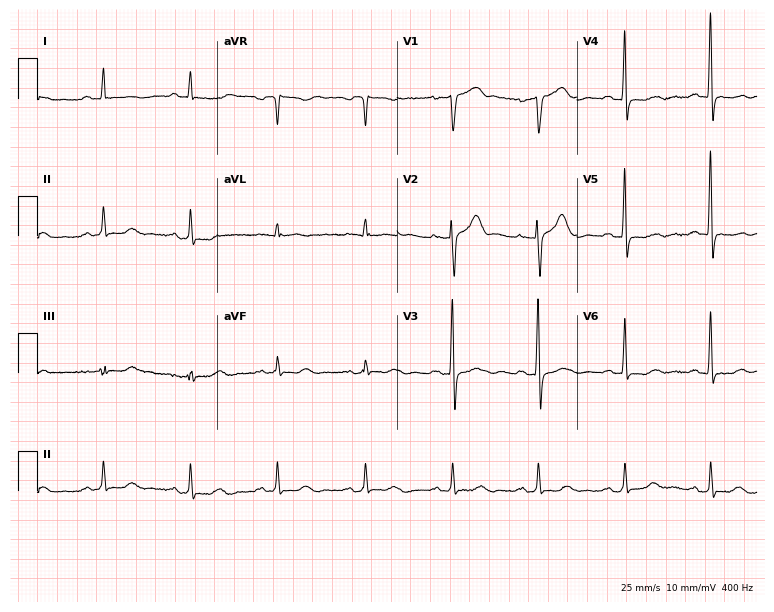
Electrocardiogram, a 78-year-old male patient. Of the six screened findings (first-degree AV block, right bundle branch block, left bundle branch block, sinus bradycardia, atrial fibrillation, sinus tachycardia), none is recorded. Other findings, if any, are not listed.